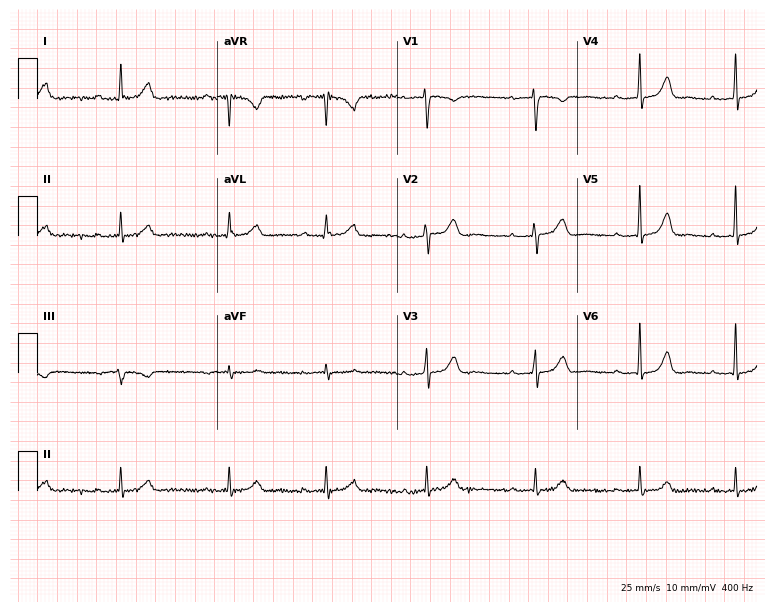
Electrocardiogram, a 42-year-old female patient. Overall reading on record: normal ECG.